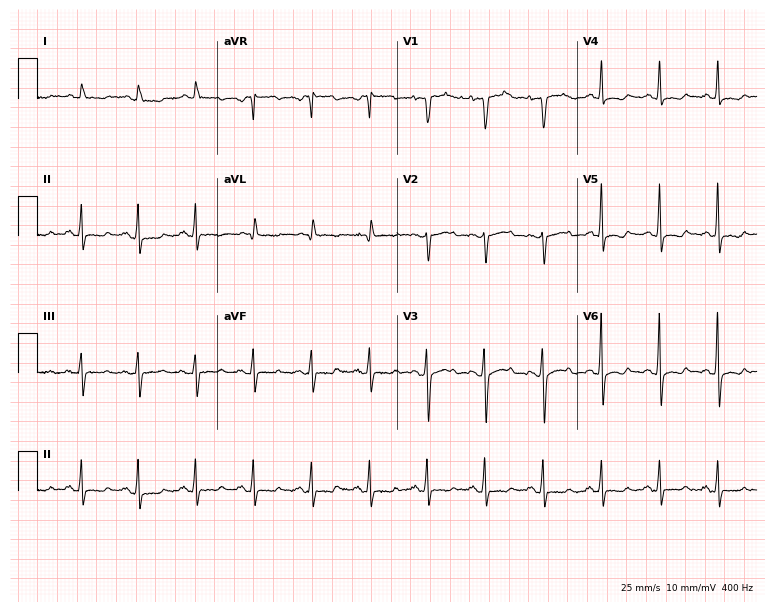
12-lead ECG from a 54-year-old female. Findings include sinus tachycardia (a sinus rate of 100 beats per minute or more).